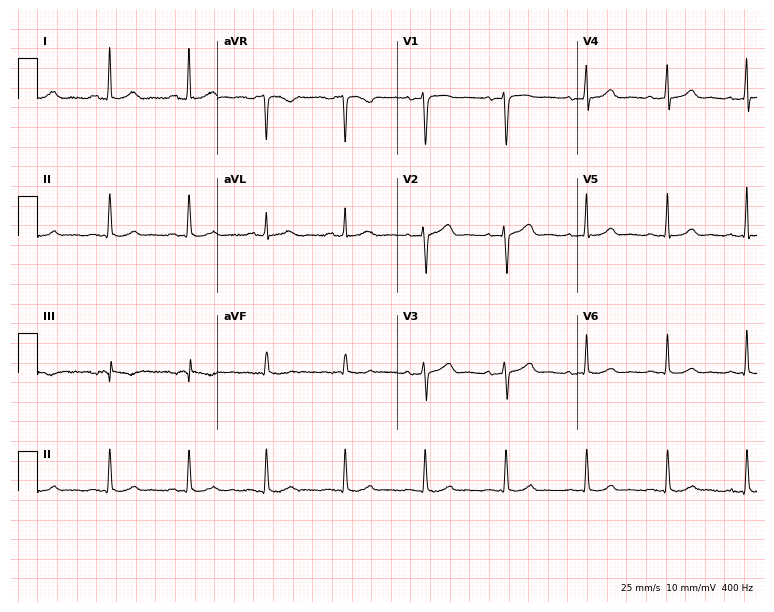
Resting 12-lead electrocardiogram. Patient: a female, 45 years old. Read as a normal ECG.